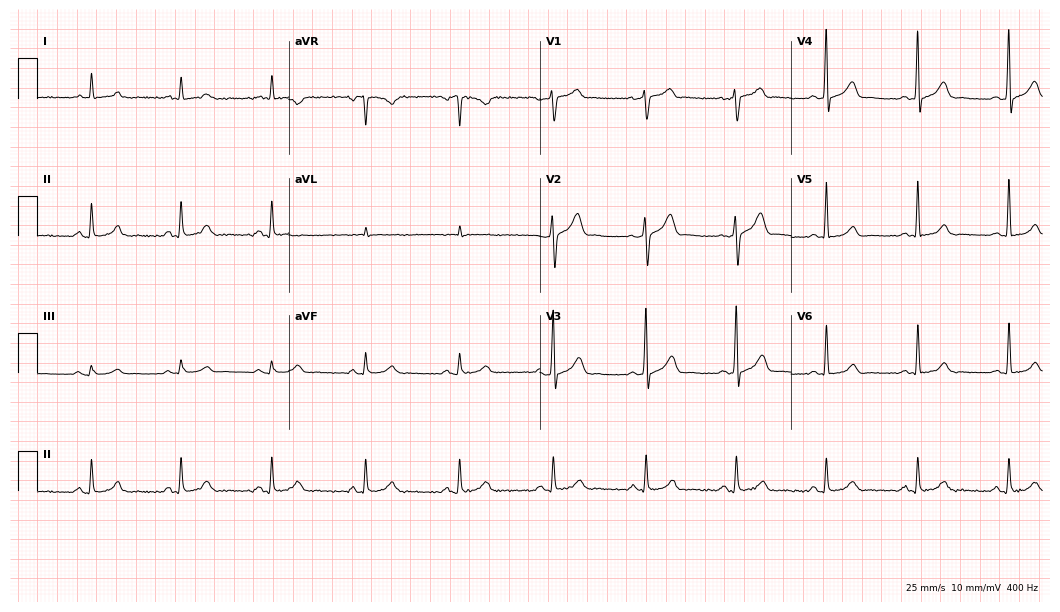
Standard 12-lead ECG recorded from a 57-year-old male patient (10.2-second recording at 400 Hz). Read as a normal ECG.